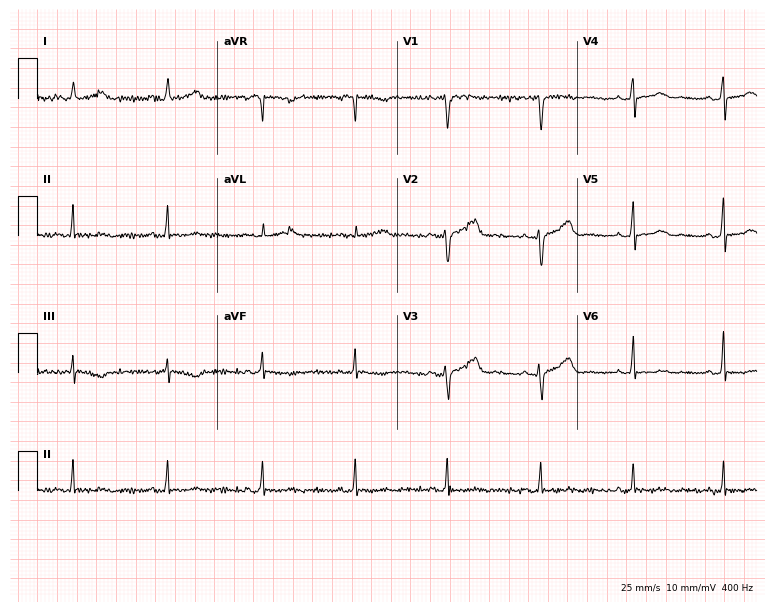
ECG — a female patient, 39 years old. Screened for six findings — first-degree AV block, right bundle branch block, left bundle branch block, sinus bradycardia, atrial fibrillation, sinus tachycardia — none is recorded. Only these six findings were labelled.